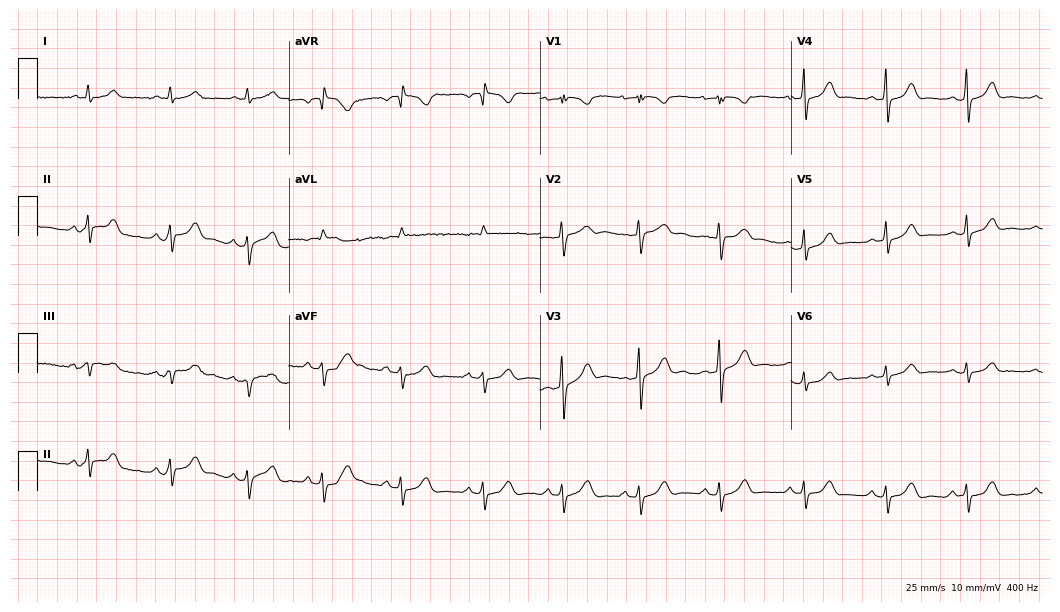
Electrocardiogram, a woman, 31 years old. Of the six screened findings (first-degree AV block, right bundle branch block, left bundle branch block, sinus bradycardia, atrial fibrillation, sinus tachycardia), none is recorded. Other findings, if any, are not listed.